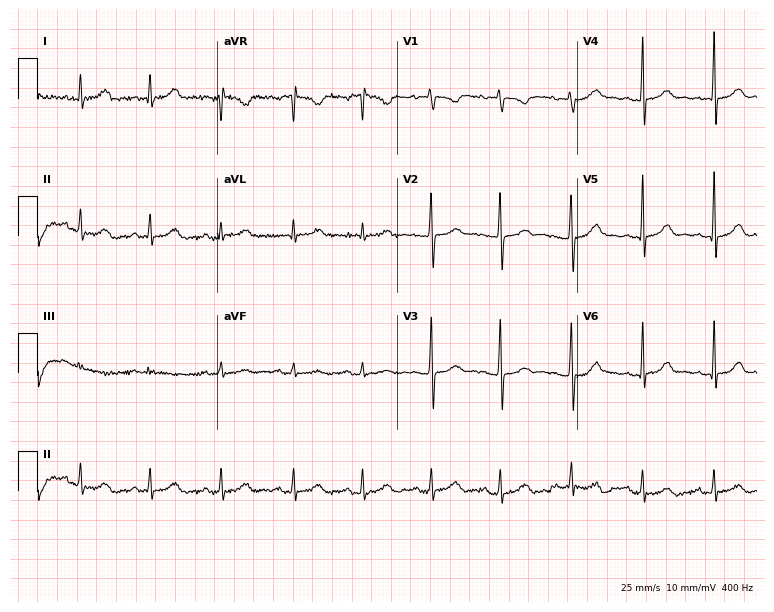
Resting 12-lead electrocardiogram. Patient: a 36-year-old female. Read as a normal ECG.